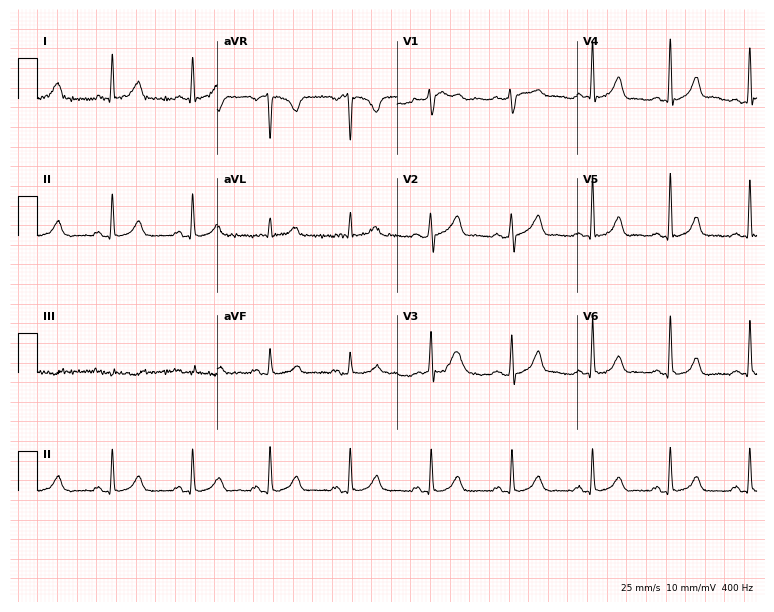
Electrocardiogram (7.3-second recording at 400 Hz), a woman, 44 years old. Overall reading on record: normal ECG.